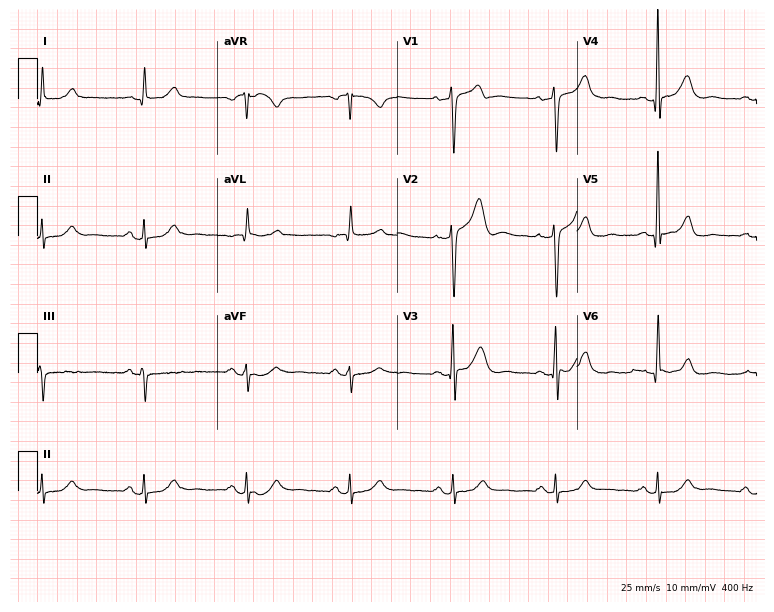
Standard 12-lead ECG recorded from a 79-year-old male patient. None of these six findings is recorded: first-degree AV block, right bundle branch block, left bundle branch block, sinus bradycardia, atrial fibrillation, sinus tachycardia.